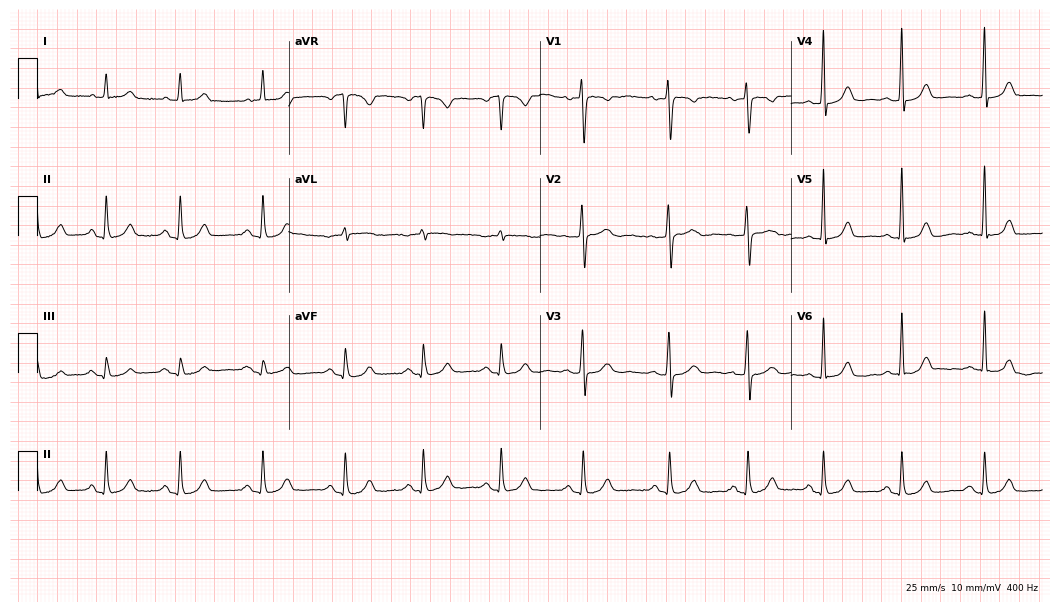
12-lead ECG from a woman, 41 years old (10.2-second recording at 400 Hz). Recorded interpretation: within normal limits.